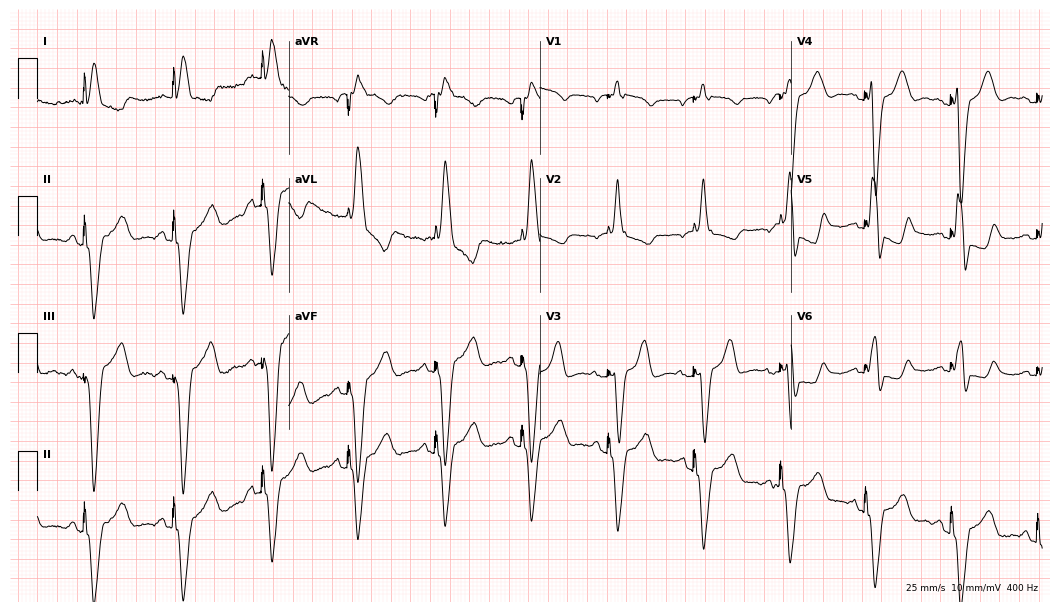
12-lead ECG from a 70-year-old female. No first-degree AV block, right bundle branch block, left bundle branch block, sinus bradycardia, atrial fibrillation or sinus tachycardia recorded for this tracing.